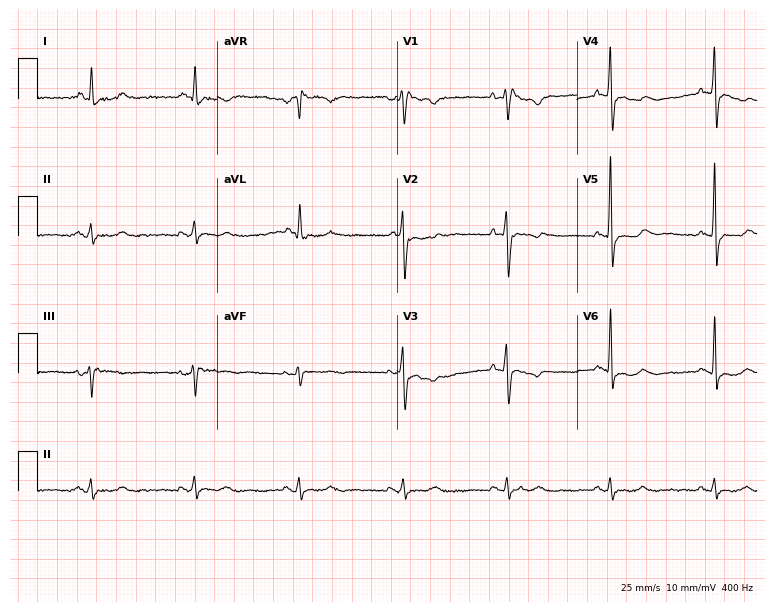
ECG — a male patient, 58 years old. Screened for six findings — first-degree AV block, right bundle branch block, left bundle branch block, sinus bradycardia, atrial fibrillation, sinus tachycardia — none is recorded. Only these six findings were labelled.